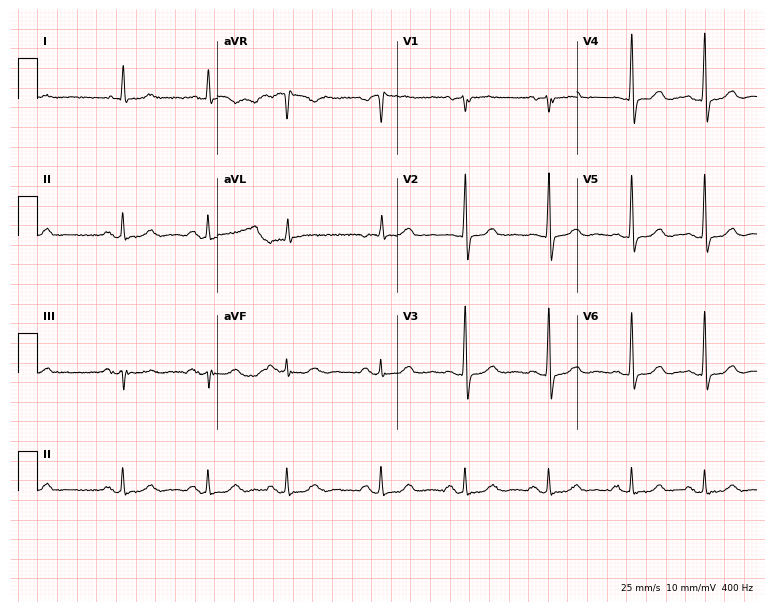
Electrocardiogram, a male patient, 74 years old. Of the six screened findings (first-degree AV block, right bundle branch block, left bundle branch block, sinus bradycardia, atrial fibrillation, sinus tachycardia), none is recorded.